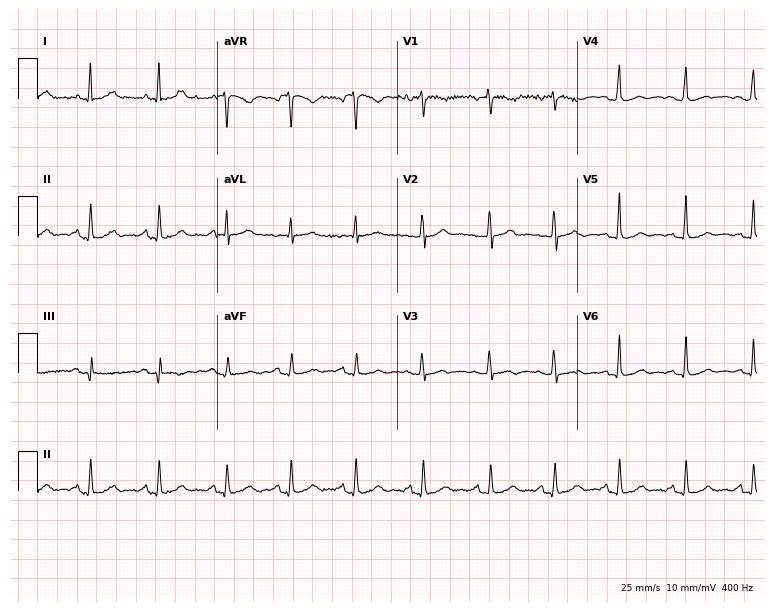
Resting 12-lead electrocardiogram. Patient: a 33-year-old woman. None of these six findings is recorded: first-degree AV block, right bundle branch block, left bundle branch block, sinus bradycardia, atrial fibrillation, sinus tachycardia.